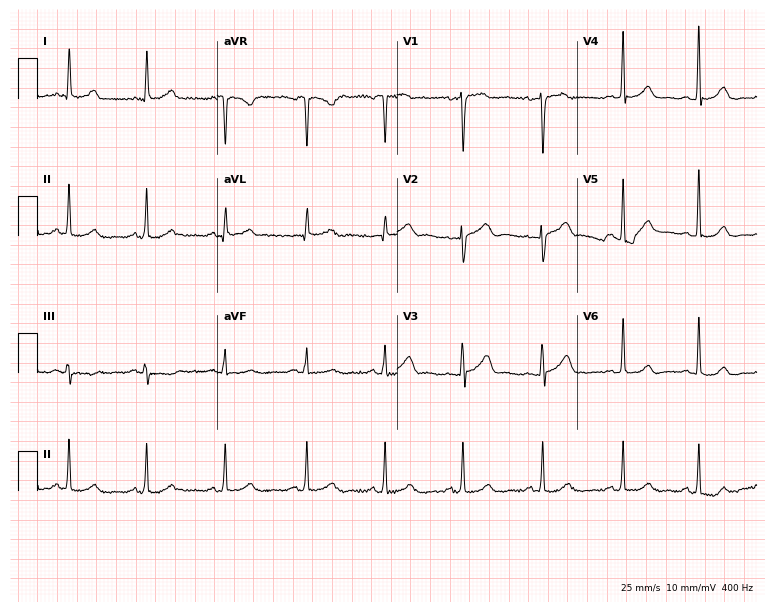
ECG (7.3-second recording at 400 Hz) — a 35-year-old woman. Labelled as a normal ECG.